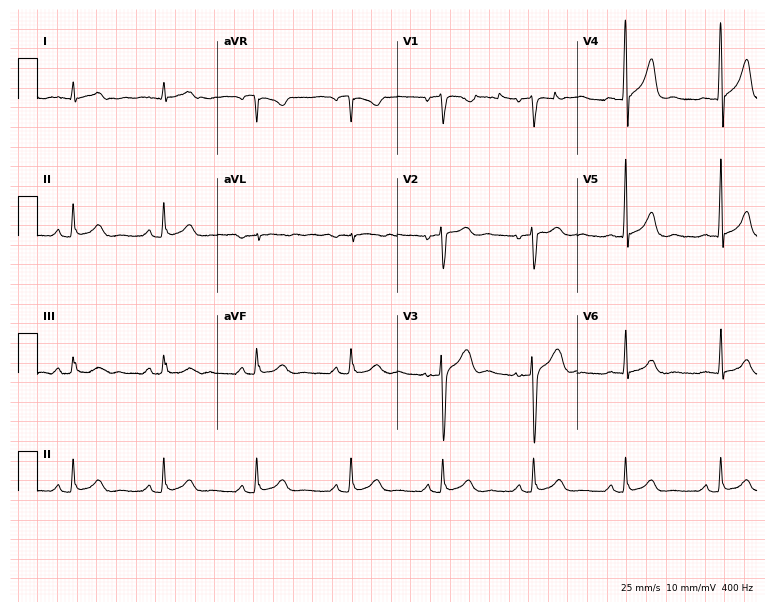
12-lead ECG from a man, 41 years old. Recorded interpretation: within normal limits.